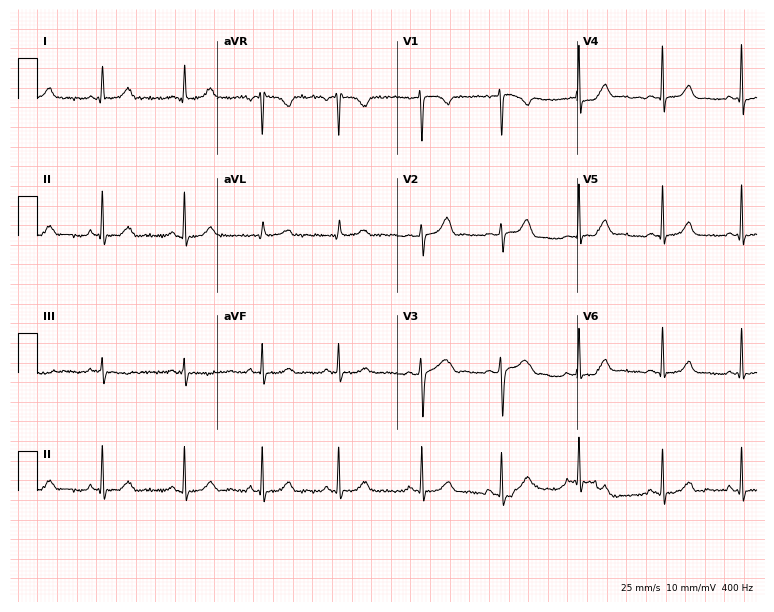
ECG (7.3-second recording at 400 Hz) — a 26-year-old female patient. Screened for six findings — first-degree AV block, right bundle branch block (RBBB), left bundle branch block (LBBB), sinus bradycardia, atrial fibrillation (AF), sinus tachycardia — none is recorded. Findings outside these six are not listed.